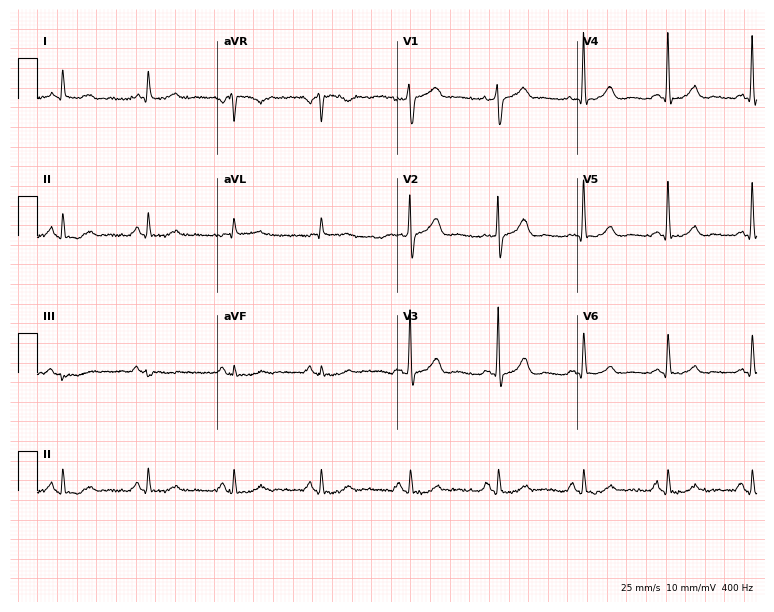
12-lead ECG from a male patient, 64 years old (7.3-second recording at 400 Hz). Recorded interpretation: within normal limits.